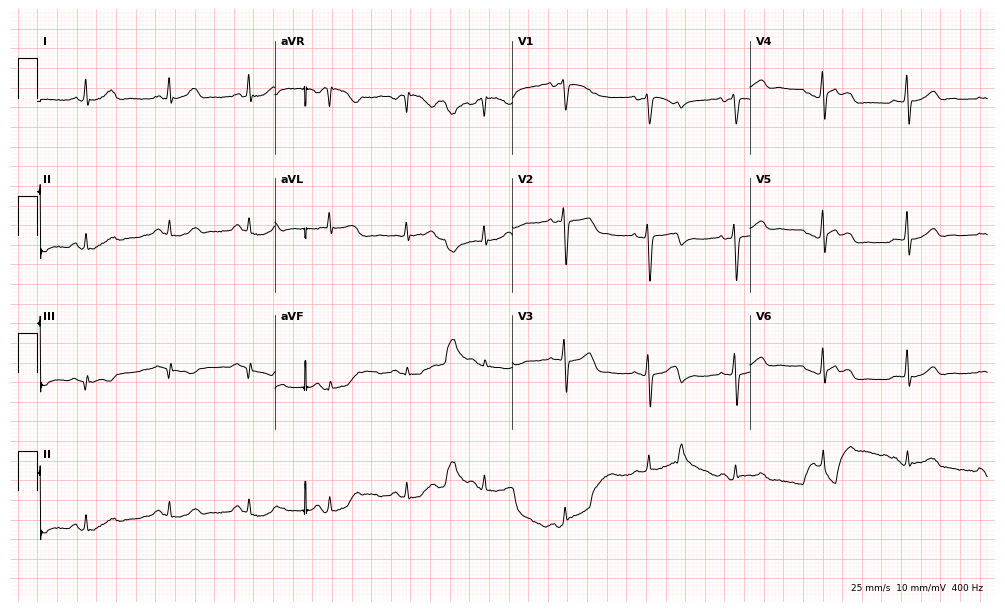
12-lead ECG (9.7-second recording at 400 Hz) from a female patient, 44 years old. Labelled as a normal ECG.